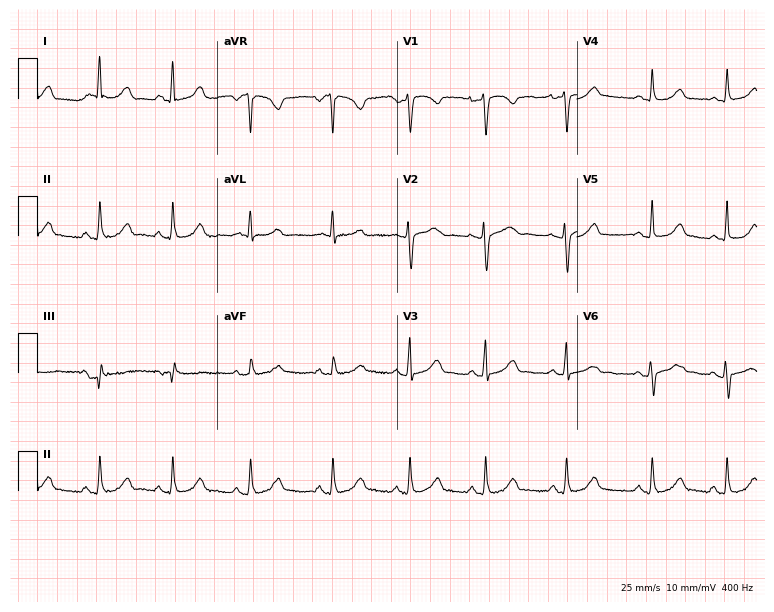
Electrocardiogram (7.3-second recording at 400 Hz), a 34-year-old female patient. Overall reading on record: normal ECG.